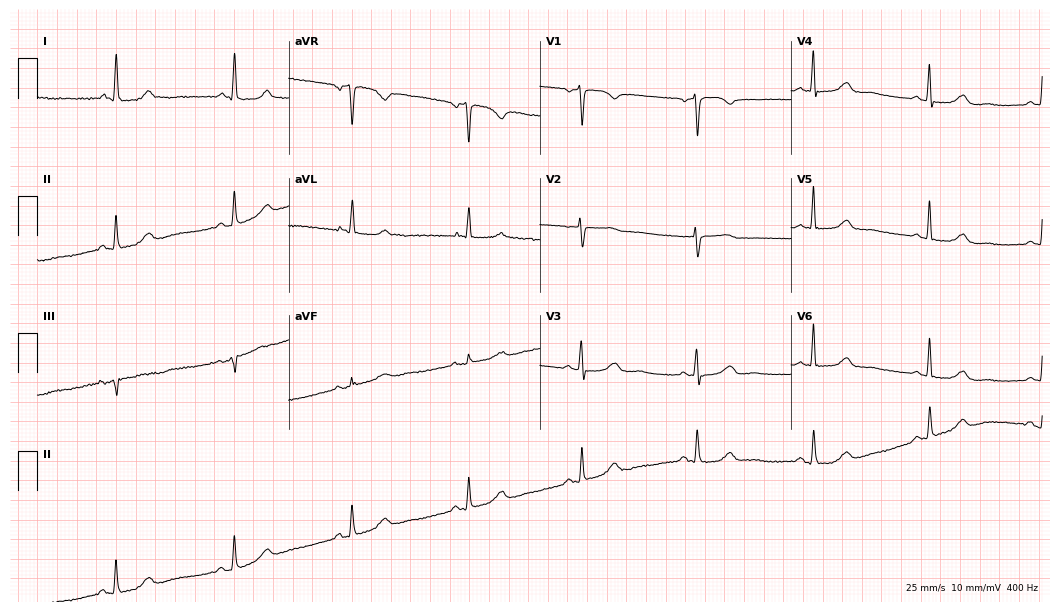
Electrocardiogram (10.2-second recording at 400 Hz), an 84-year-old female patient. Overall reading on record: normal ECG.